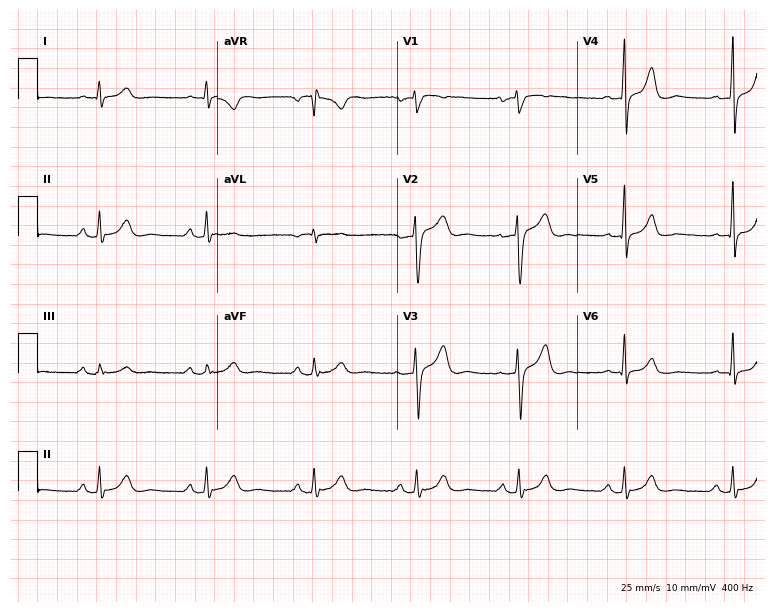
12-lead ECG from a man, 56 years old. Labelled as a normal ECG.